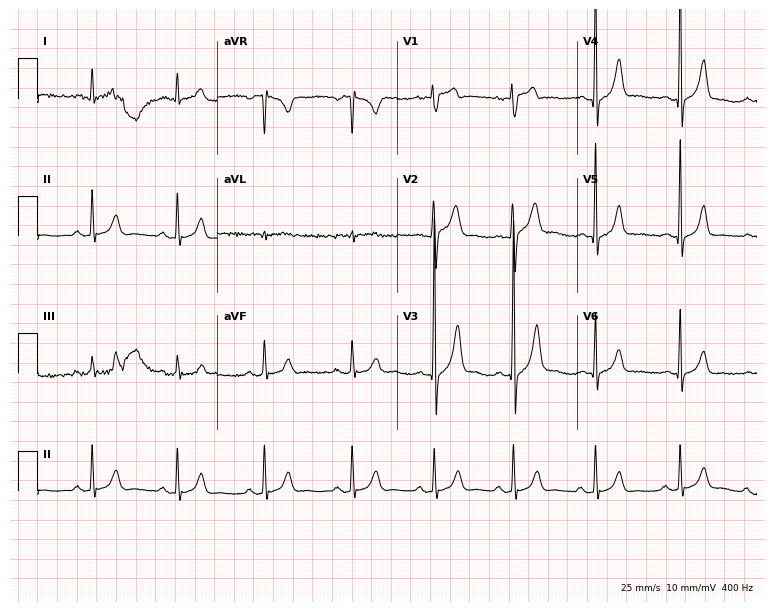
Resting 12-lead electrocardiogram (7.3-second recording at 400 Hz). Patient: a 37-year-old male. None of these six findings is recorded: first-degree AV block, right bundle branch block (RBBB), left bundle branch block (LBBB), sinus bradycardia, atrial fibrillation (AF), sinus tachycardia. Other findings, if any, are not listed.